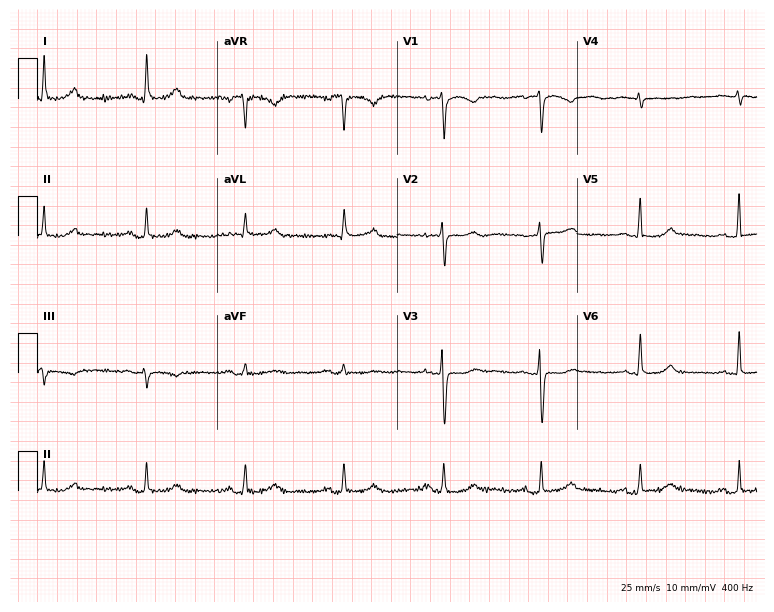
Resting 12-lead electrocardiogram. Patient: a woman, 64 years old. None of these six findings is recorded: first-degree AV block, right bundle branch block, left bundle branch block, sinus bradycardia, atrial fibrillation, sinus tachycardia. Other findings, if any, are not listed.